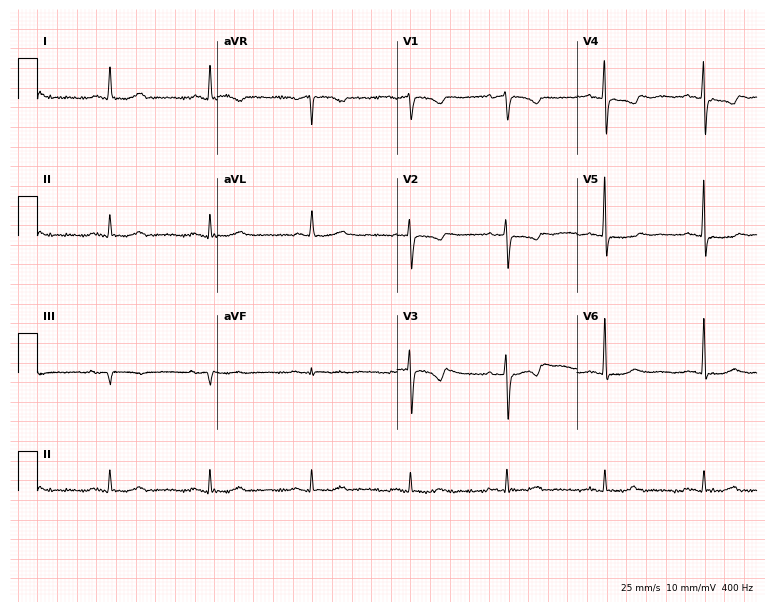
ECG — a 71-year-old woman. Screened for six findings — first-degree AV block, right bundle branch block, left bundle branch block, sinus bradycardia, atrial fibrillation, sinus tachycardia — none is recorded.